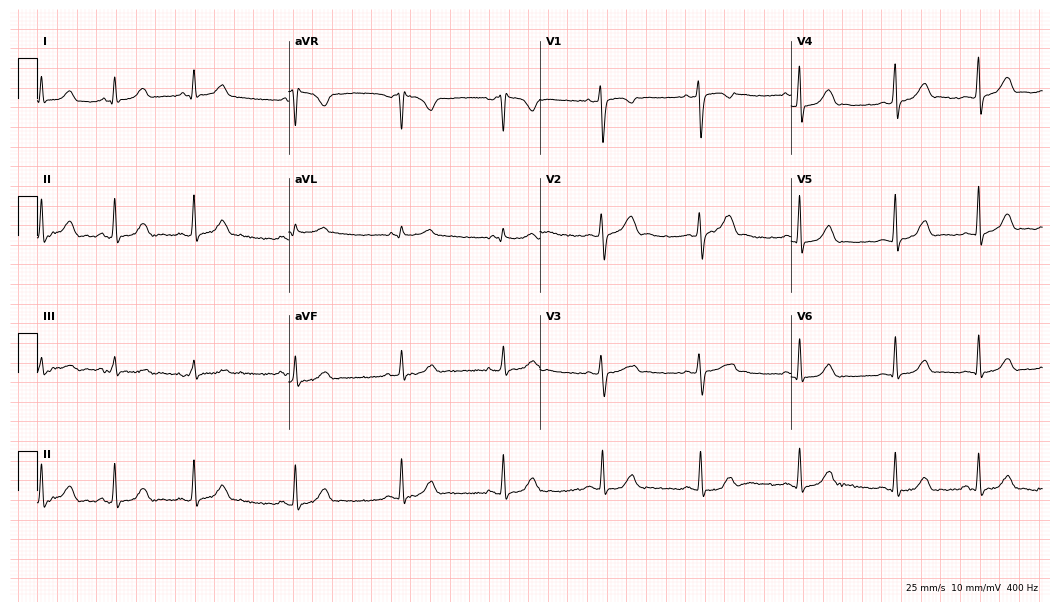
12-lead ECG from a 26-year-old female patient (10.2-second recording at 400 Hz). Recorded interpretation: within normal limits.